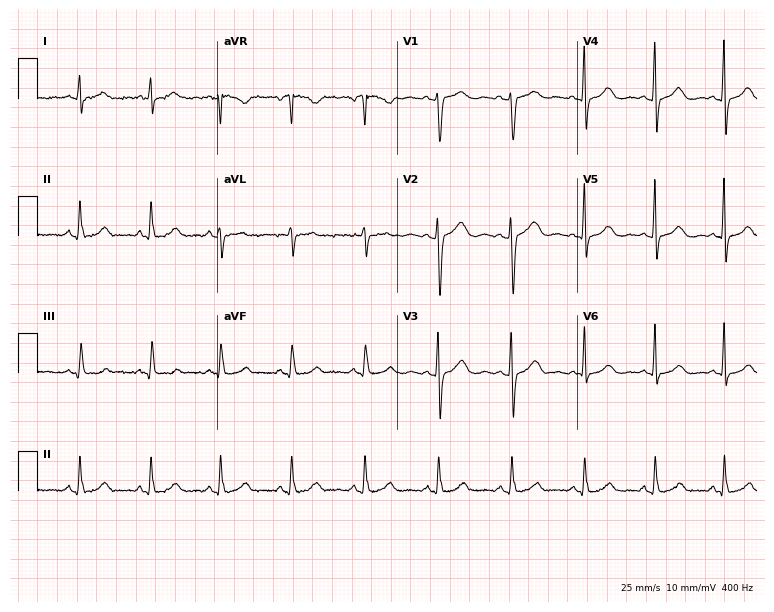
ECG — a female patient, 48 years old. Labelled as a normal ECG.